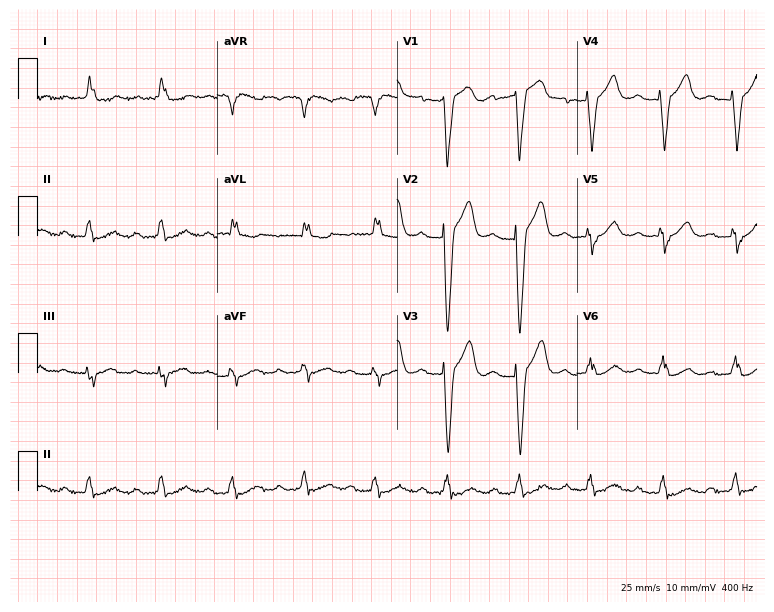
Resting 12-lead electrocardiogram. Patient: a 77-year-old male. The tracing shows first-degree AV block, left bundle branch block.